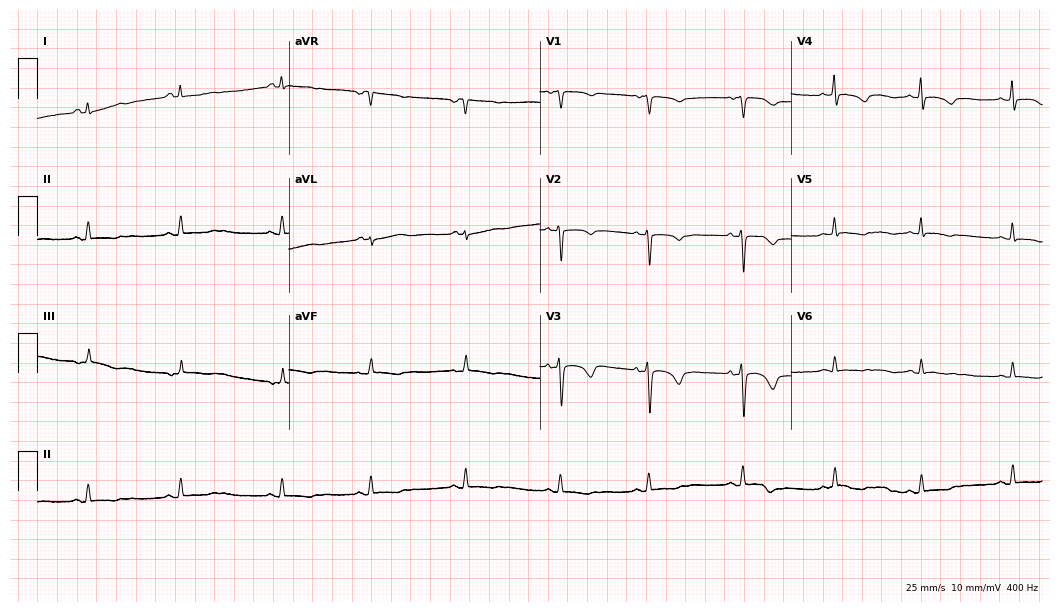
ECG — a female patient, 26 years old. Screened for six findings — first-degree AV block, right bundle branch block (RBBB), left bundle branch block (LBBB), sinus bradycardia, atrial fibrillation (AF), sinus tachycardia — none is recorded. Findings outside these six are not listed.